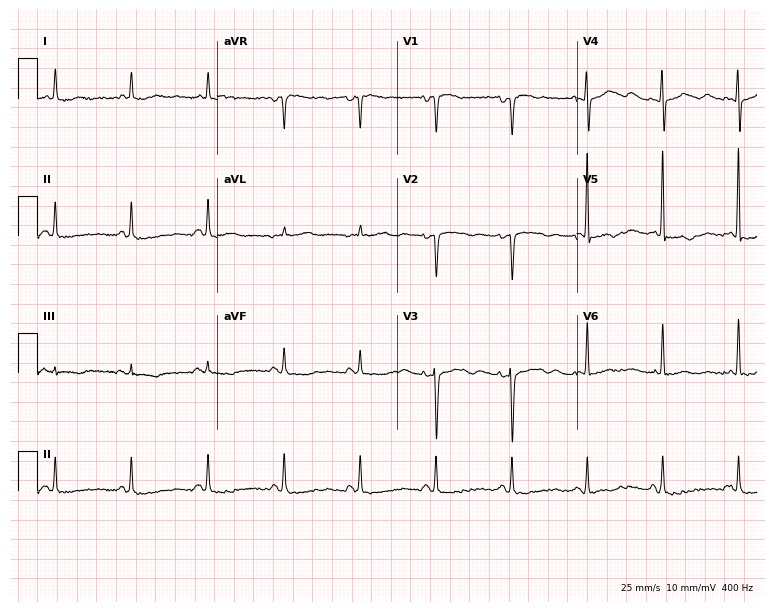
12-lead ECG from a 79-year-old female patient (7.3-second recording at 400 Hz). No first-degree AV block, right bundle branch block (RBBB), left bundle branch block (LBBB), sinus bradycardia, atrial fibrillation (AF) or sinus tachycardia recorded for this tracing. Other findings, if any, are not listed.